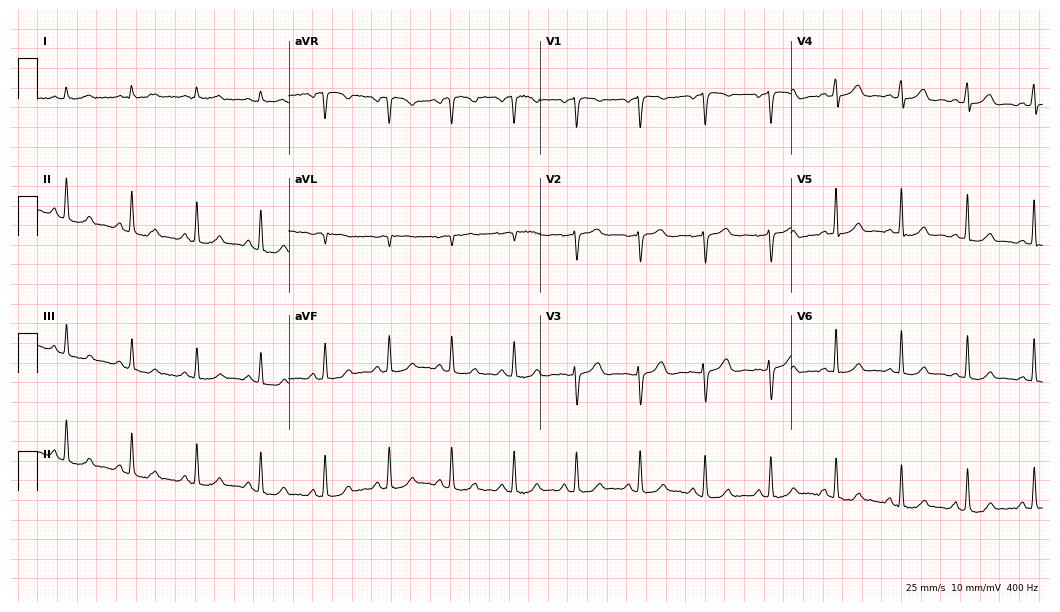
Resting 12-lead electrocardiogram (10.2-second recording at 400 Hz). Patient: a female, 43 years old. Read as a normal ECG.